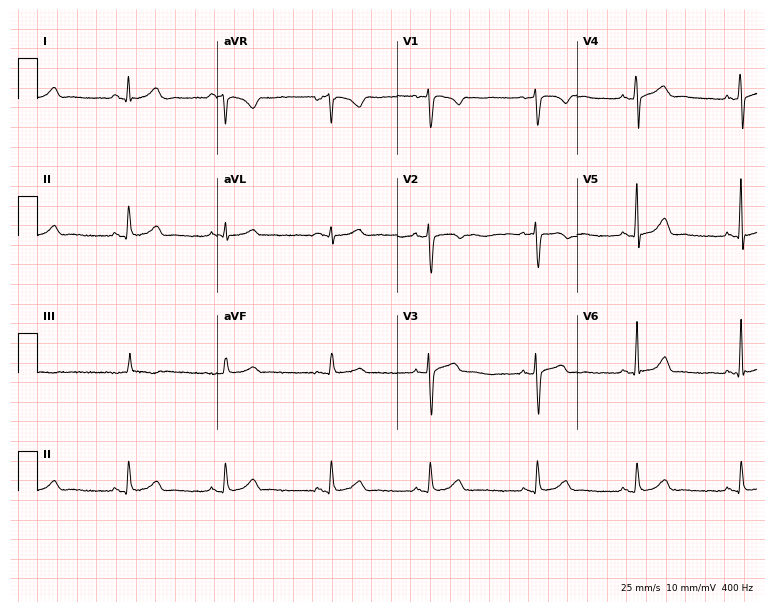
12-lead ECG from a female, 37 years old. Labelled as a normal ECG.